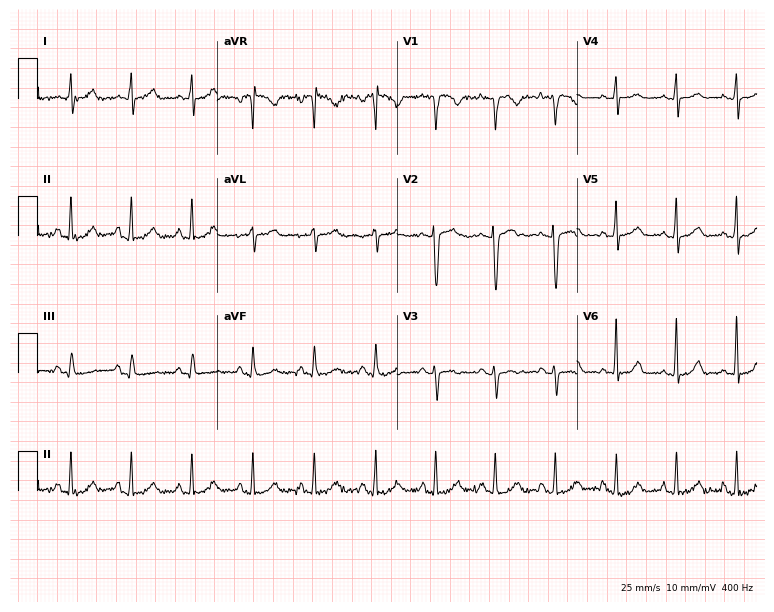
Electrocardiogram, a female, 25 years old. Overall reading on record: normal ECG.